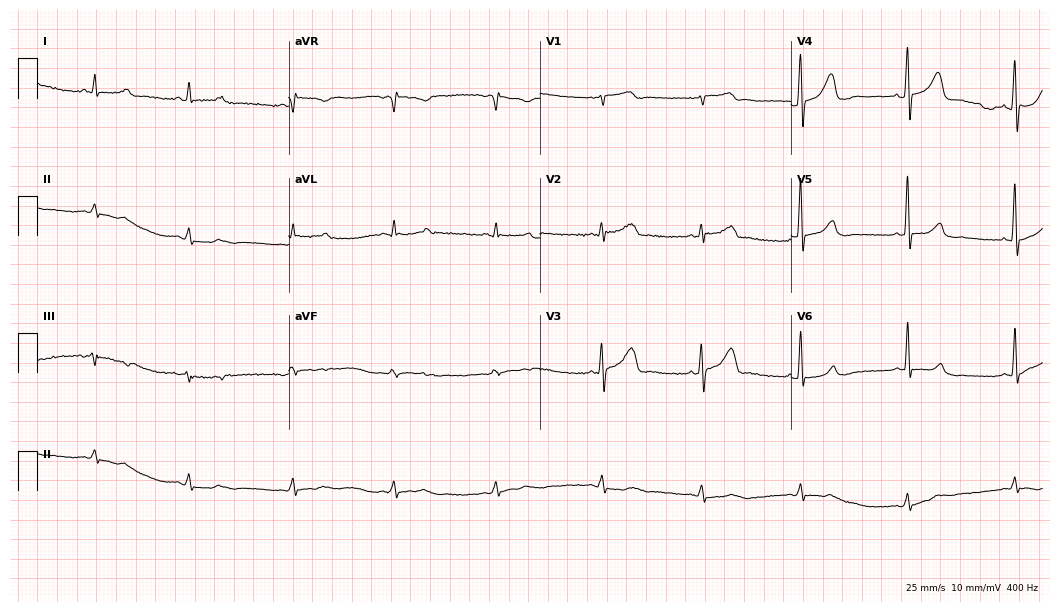
Resting 12-lead electrocardiogram (10.2-second recording at 400 Hz). Patient: a man, 58 years old. Read as a normal ECG.